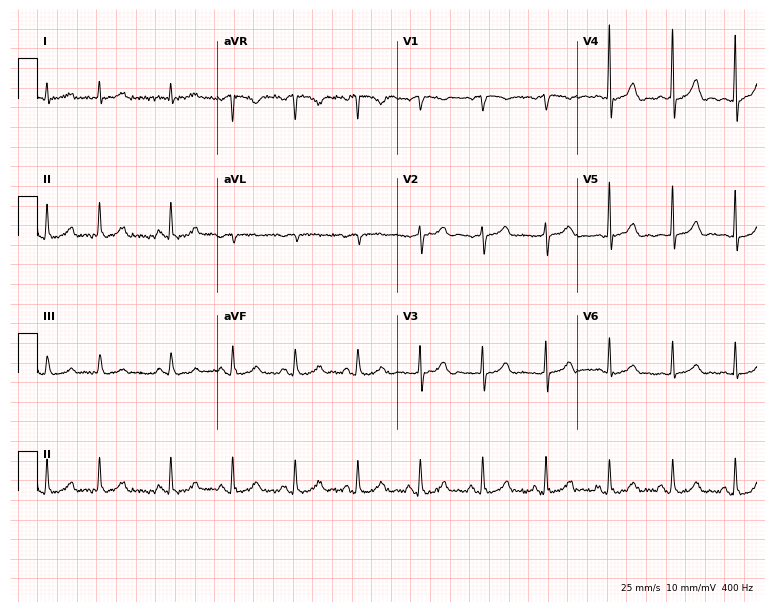
Standard 12-lead ECG recorded from a 78-year-old male. None of these six findings is recorded: first-degree AV block, right bundle branch block, left bundle branch block, sinus bradycardia, atrial fibrillation, sinus tachycardia. Findings outside these six are not listed.